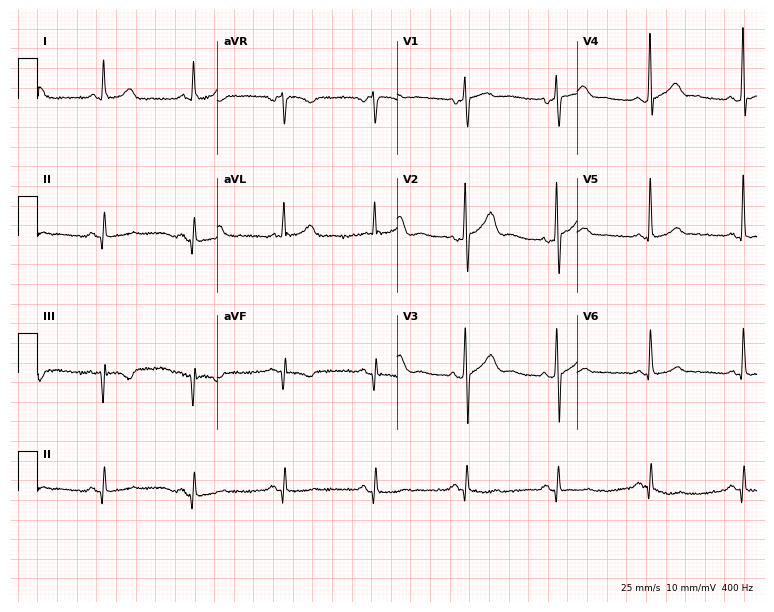
Electrocardiogram, a male patient, 71 years old. Of the six screened findings (first-degree AV block, right bundle branch block, left bundle branch block, sinus bradycardia, atrial fibrillation, sinus tachycardia), none is recorded. Findings outside these six are not listed.